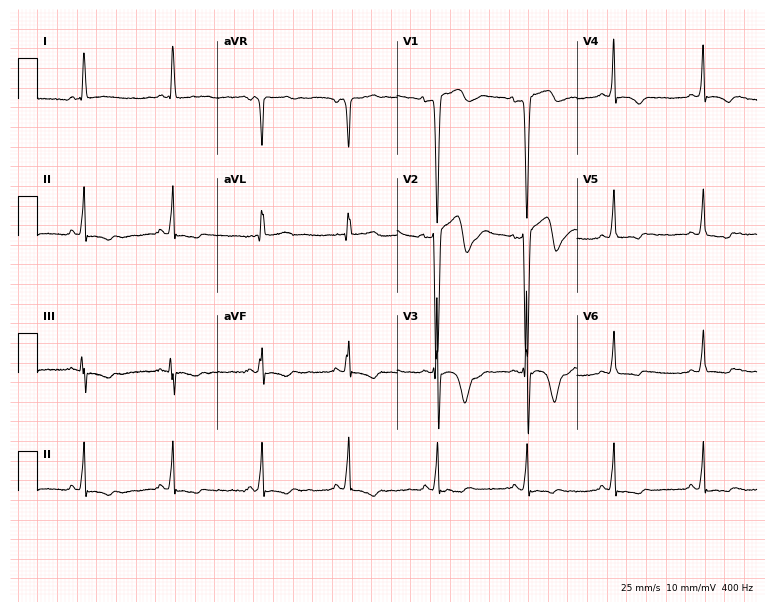
Electrocardiogram (7.3-second recording at 400 Hz), a 39-year-old male patient. Of the six screened findings (first-degree AV block, right bundle branch block, left bundle branch block, sinus bradycardia, atrial fibrillation, sinus tachycardia), none is recorded.